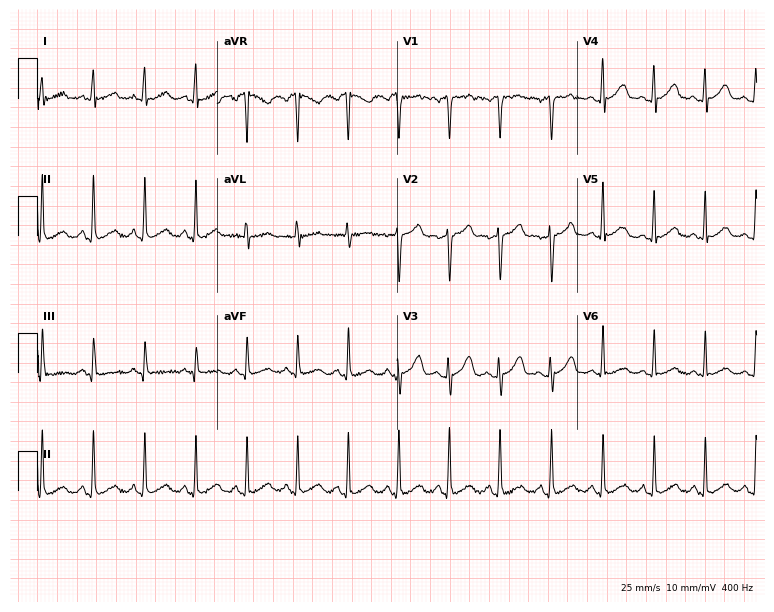
12-lead ECG from a 34-year-old male (7.3-second recording at 400 Hz). Shows sinus tachycardia (a sinus rate of 100 beats per minute or more).